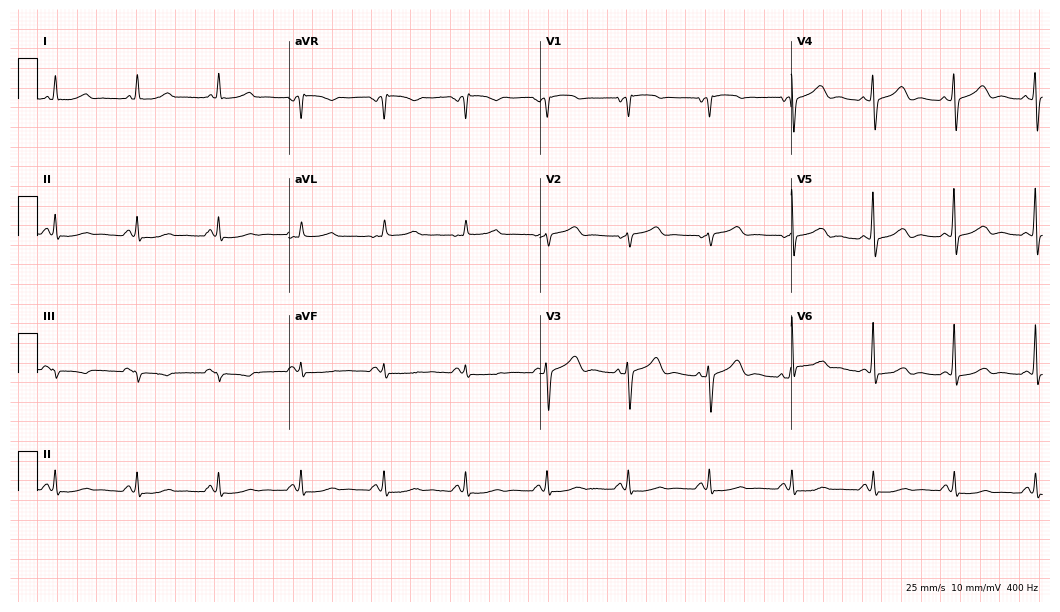
ECG — a 61-year-old female patient. Screened for six findings — first-degree AV block, right bundle branch block (RBBB), left bundle branch block (LBBB), sinus bradycardia, atrial fibrillation (AF), sinus tachycardia — none is recorded. Other findings, if any, are not listed.